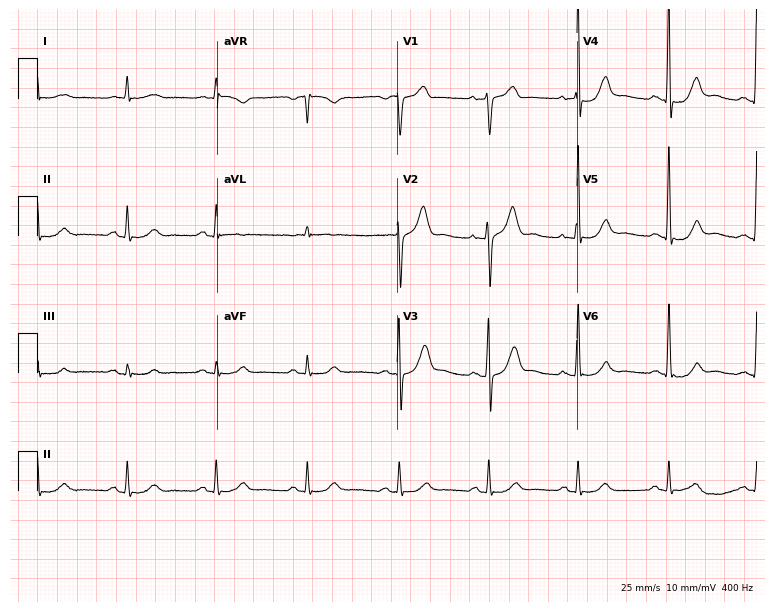
12-lead ECG from a 61-year-old male patient. No first-degree AV block, right bundle branch block, left bundle branch block, sinus bradycardia, atrial fibrillation or sinus tachycardia recorded for this tracing. Findings outside these six are not listed.